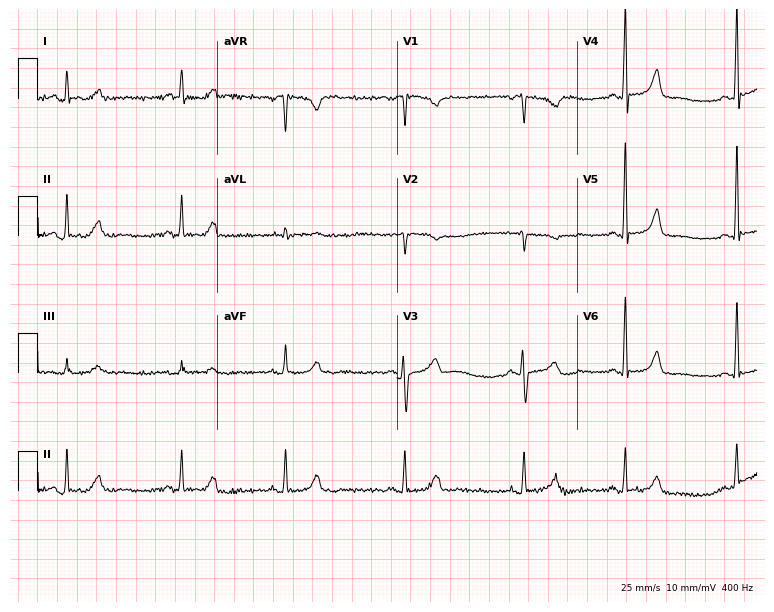
12-lead ECG from a 51-year-old female. No first-degree AV block, right bundle branch block, left bundle branch block, sinus bradycardia, atrial fibrillation or sinus tachycardia recorded for this tracing. Other findings, if any, are not listed.